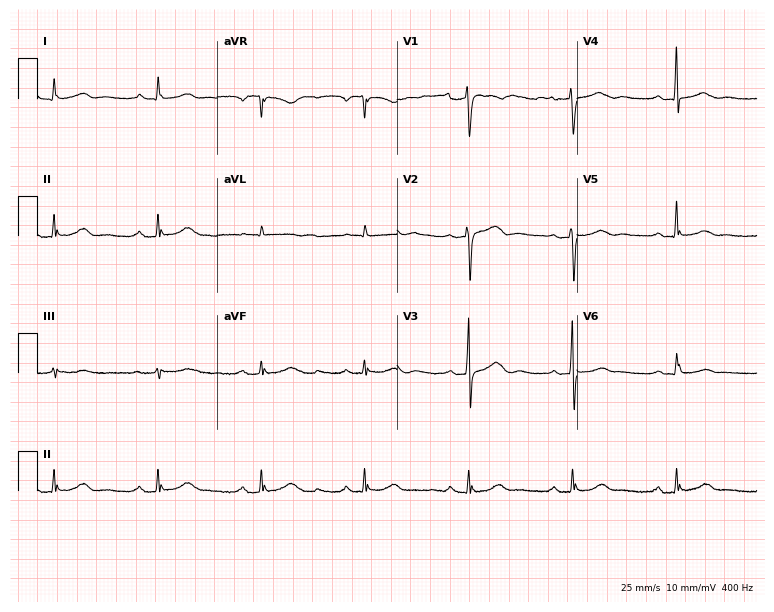
12-lead ECG from a female patient, 70 years old. Screened for six findings — first-degree AV block, right bundle branch block, left bundle branch block, sinus bradycardia, atrial fibrillation, sinus tachycardia — none is recorded. Findings outside these six are not listed.